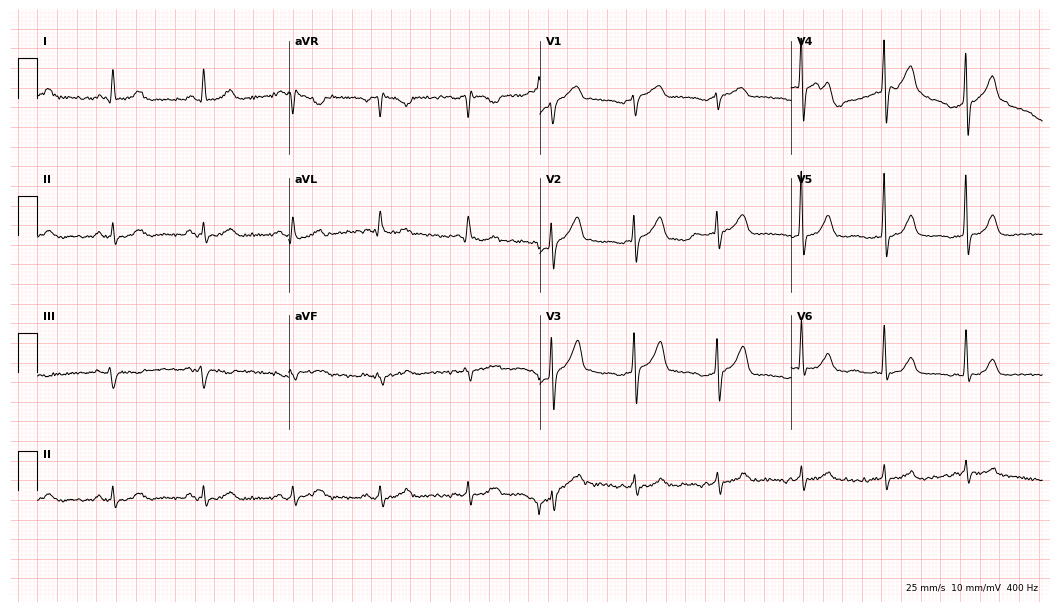
Resting 12-lead electrocardiogram. Patient: a 68-year-old male. Read as a normal ECG.